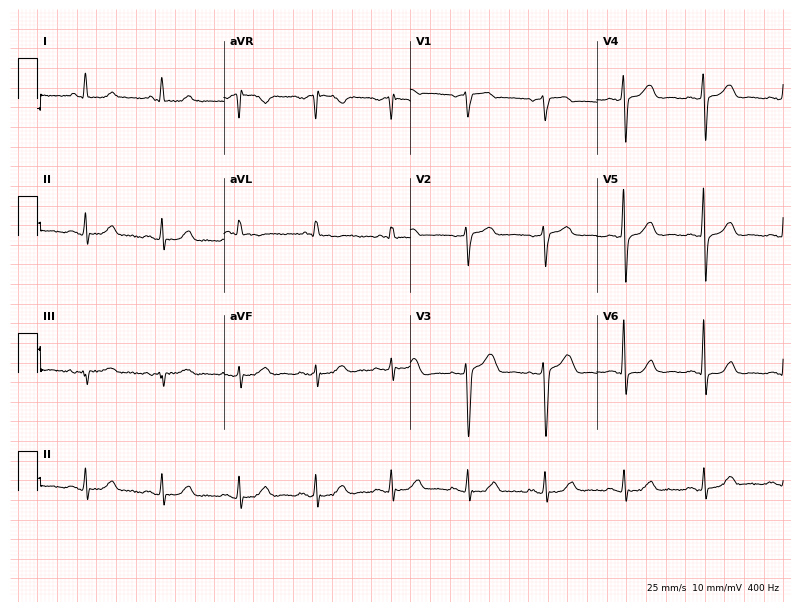
ECG (7.6-second recording at 400 Hz) — a female patient, 57 years old. Labelled as a normal ECG.